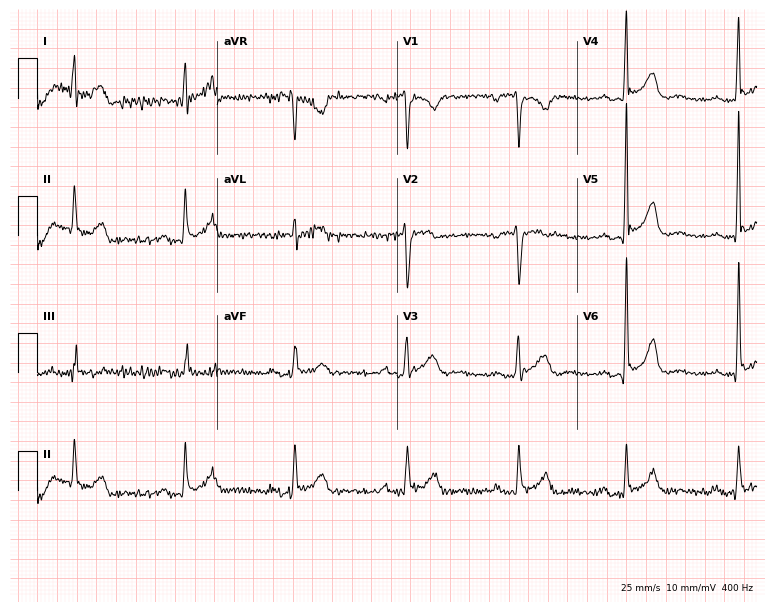
Standard 12-lead ECG recorded from a 41-year-old male (7.3-second recording at 400 Hz). The tracing shows first-degree AV block.